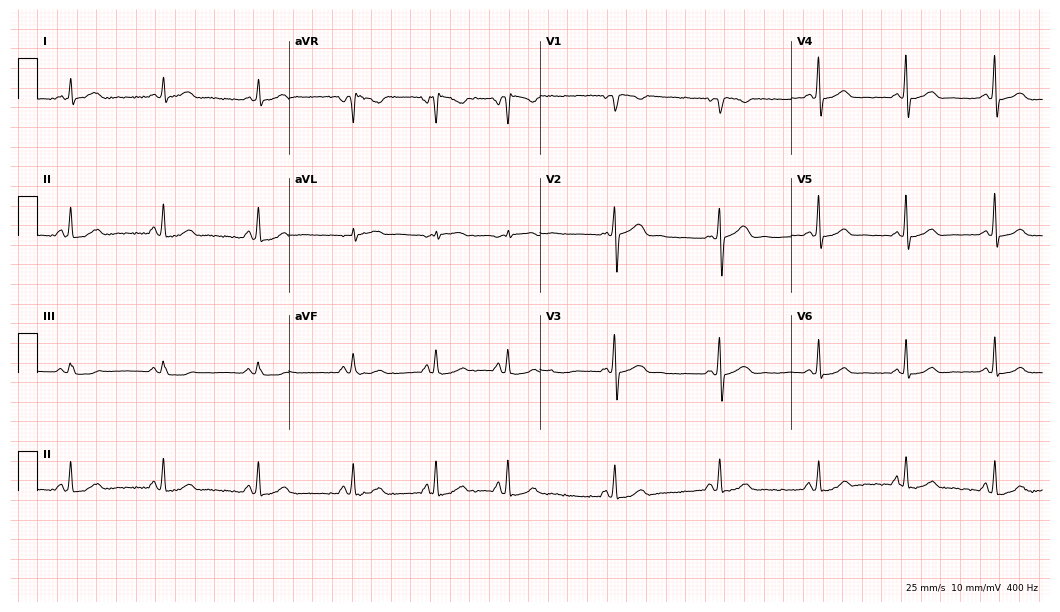
12-lead ECG from a female, 23 years old. Screened for six findings — first-degree AV block, right bundle branch block, left bundle branch block, sinus bradycardia, atrial fibrillation, sinus tachycardia — none is recorded.